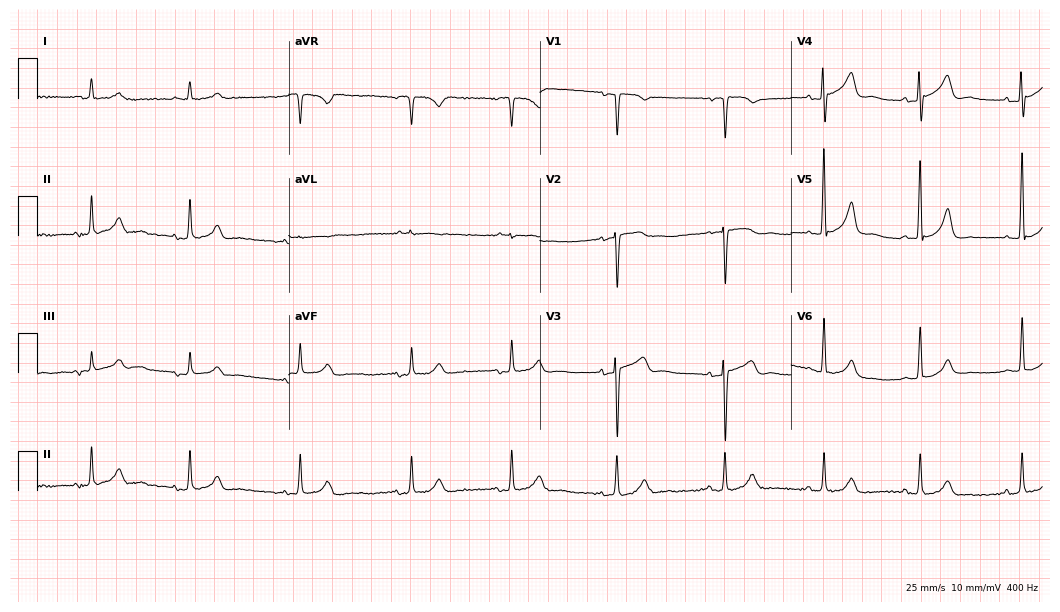
12-lead ECG from a 75-year-old woman. Screened for six findings — first-degree AV block, right bundle branch block, left bundle branch block, sinus bradycardia, atrial fibrillation, sinus tachycardia — none is recorded. Only these six findings were labelled.